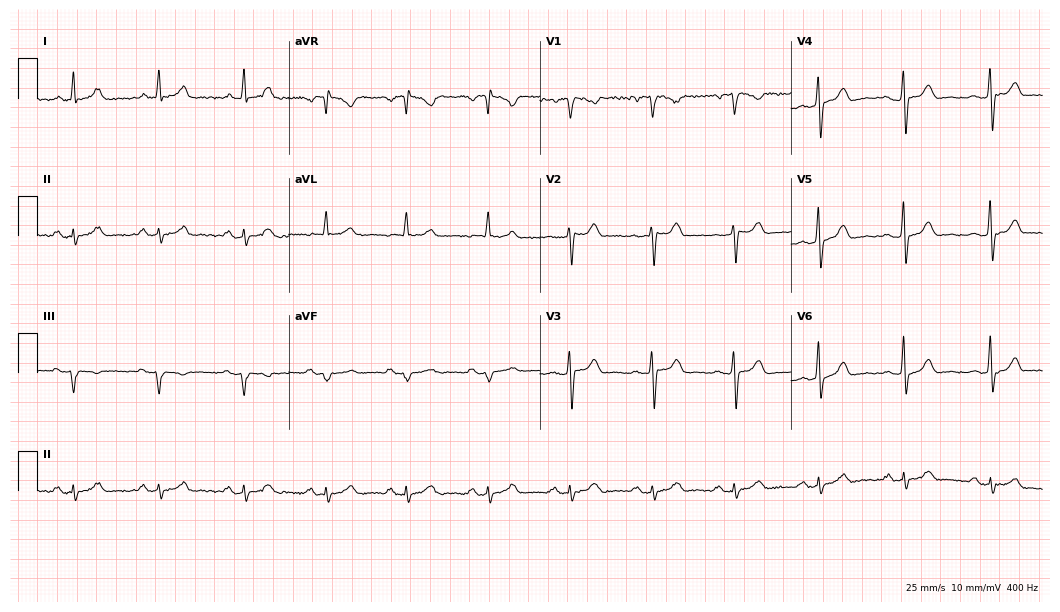
12-lead ECG from a male, 35 years old (10.2-second recording at 400 Hz). Recorded interpretation: within normal limits.